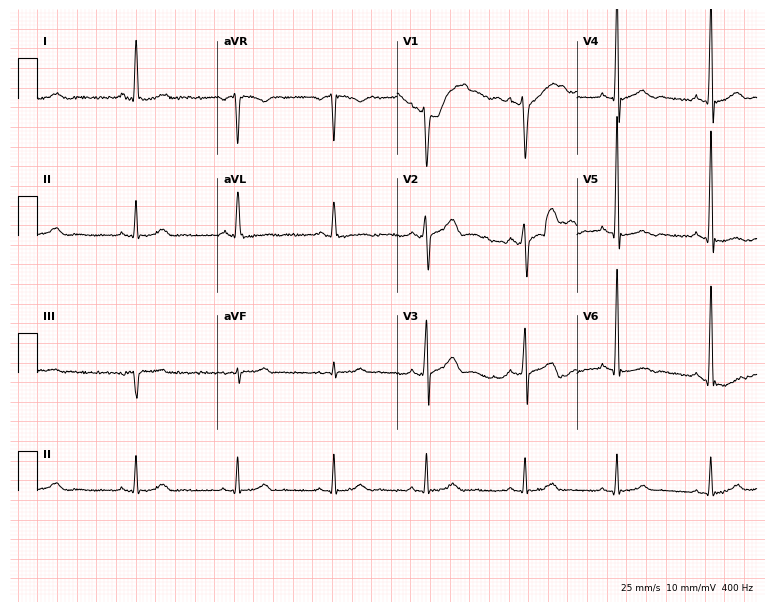
Electrocardiogram (7.3-second recording at 400 Hz), a 41-year-old male. Of the six screened findings (first-degree AV block, right bundle branch block (RBBB), left bundle branch block (LBBB), sinus bradycardia, atrial fibrillation (AF), sinus tachycardia), none is recorded. Only these six findings were labelled.